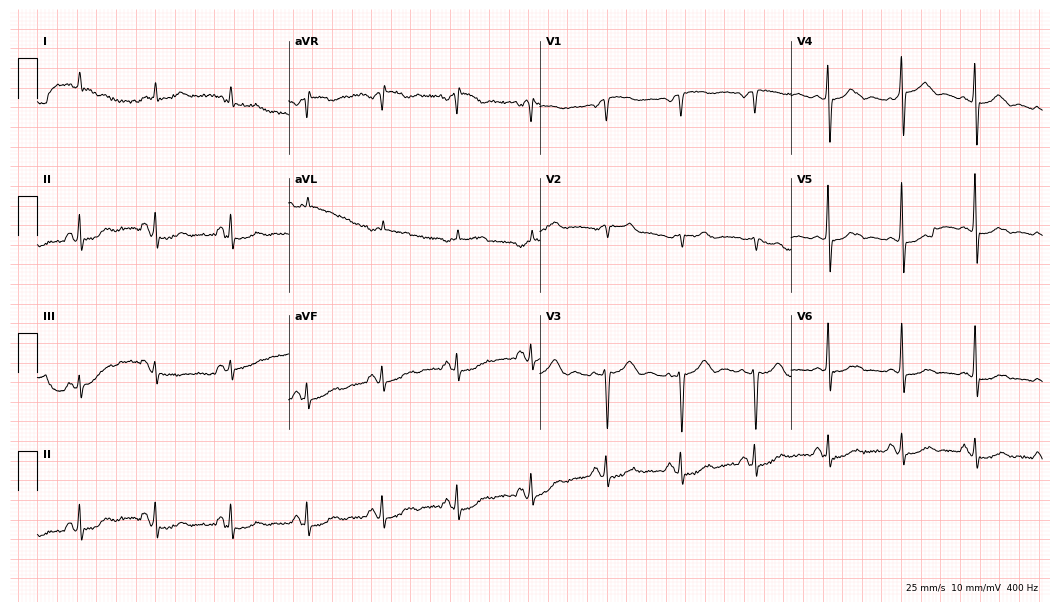
Standard 12-lead ECG recorded from an 80-year-old female patient. None of these six findings is recorded: first-degree AV block, right bundle branch block, left bundle branch block, sinus bradycardia, atrial fibrillation, sinus tachycardia. Only these six findings were labelled.